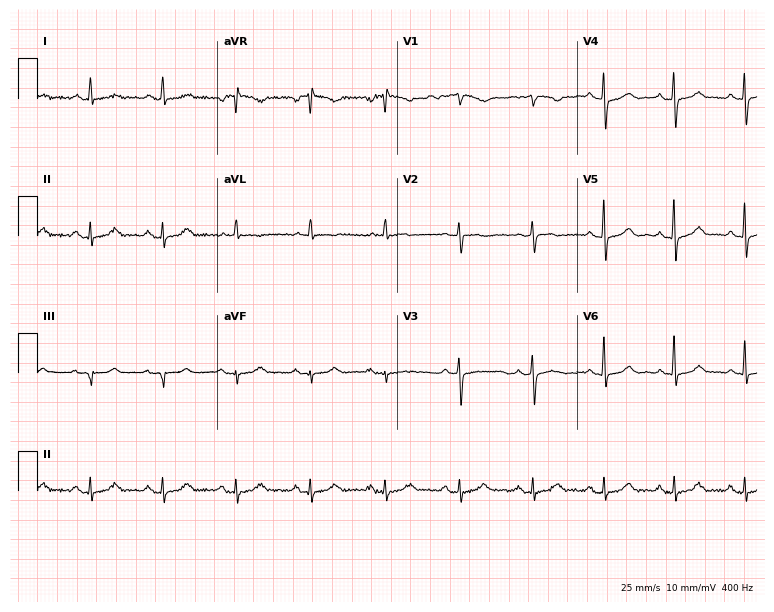
12-lead ECG from a male patient, 68 years old. Recorded interpretation: within normal limits.